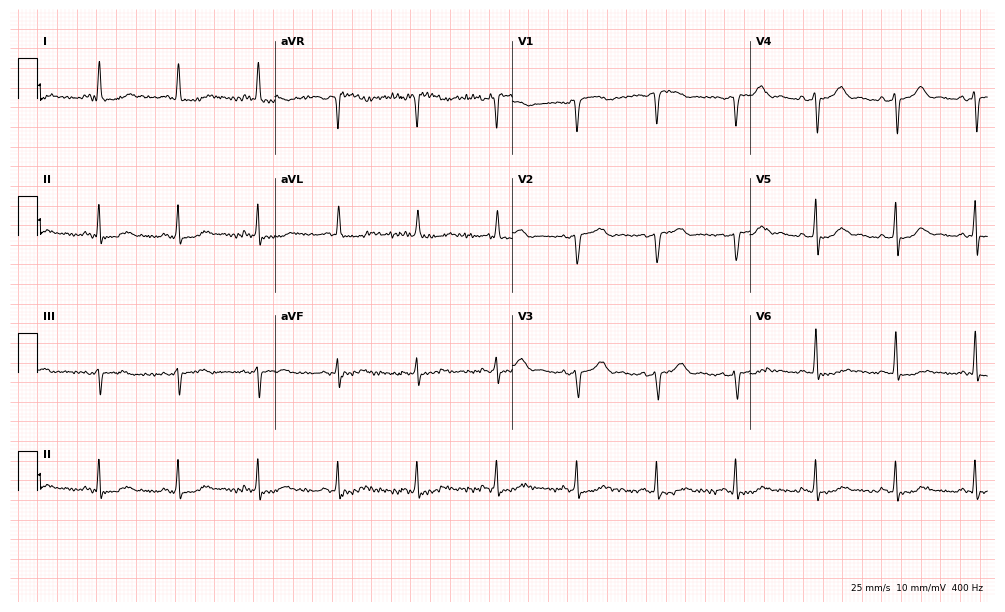
12-lead ECG from a female, 62 years old. Screened for six findings — first-degree AV block, right bundle branch block, left bundle branch block, sinus bradycardia, atrial fibrillation, sinus tachycardia — none is recorded. Other findings, if any, are not listed.